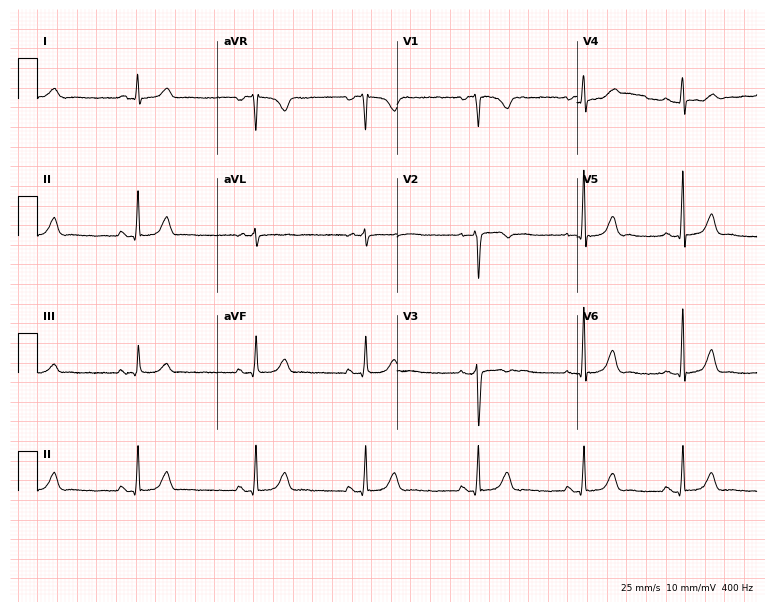
Standard 12-lead ECG recorded from a woman, 39 years old (7.3-second recording at 400 Hz). None of these six findings is recorded: first-degree AV block, right bundle branch block, left bundle branch block, sinus bradycardia, atrial fibrillation, sinus tachycardia.